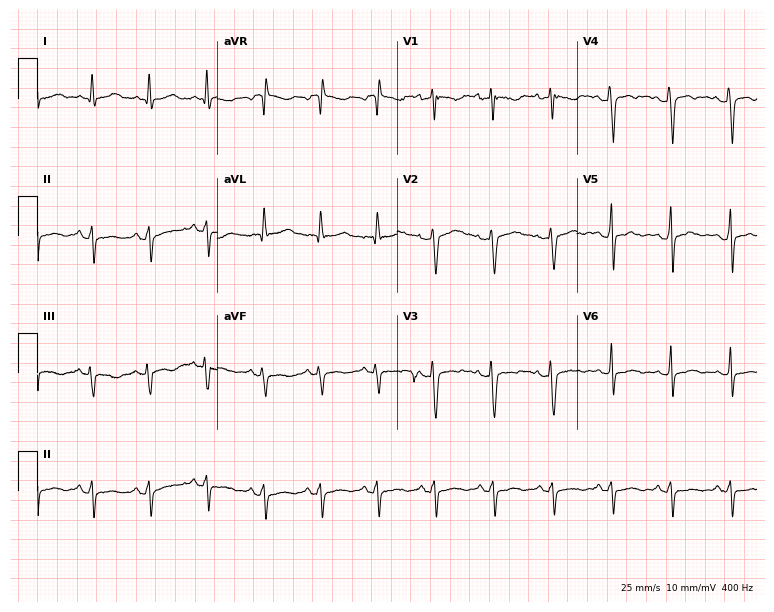
Electrocardiogram, a 41-year-old female patient. Of the six screened findings (first-degree AV block, right bundle branch block, left bundle branch block, sinus bradycardia, atrial fibrillation, sinus tachycardia), none is recorded.